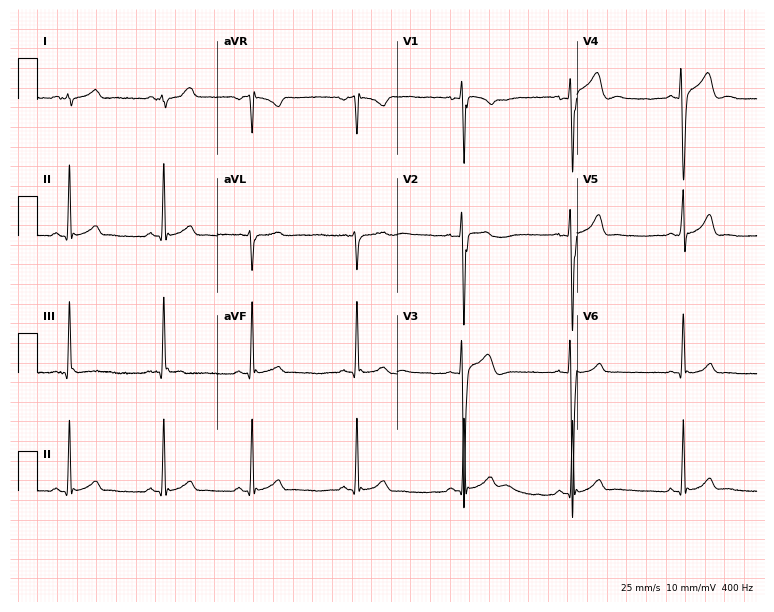
Standard 12-lead ECG recorded from a male patient, 17 years old (7.3-second recording at 400 Hz). None of these six findings is recorded: first-degree AV block, right bundle branch block, left bundle branch block, sinus bradycardia, atrial fibrillation, sinus tachycardia. Other findings, if any, are not listed.